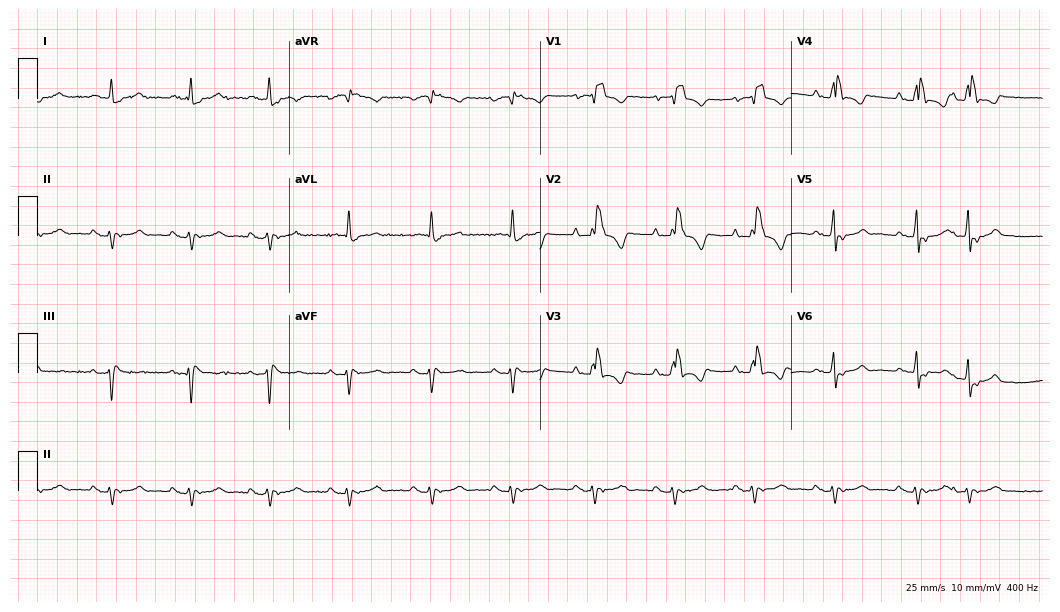
Resting 12-lead electrocardiogram (10.2-second recording at 400 Hz). Patient: an 80-year-old man. The tracing shows right bundle branch block (RBBB).